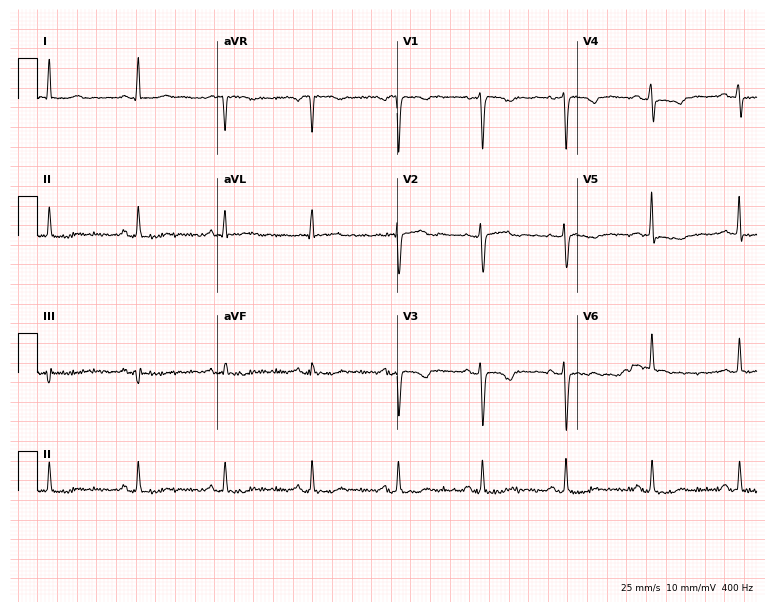
ECG — a 50-year-old woman. Labelled as a normal ECG.